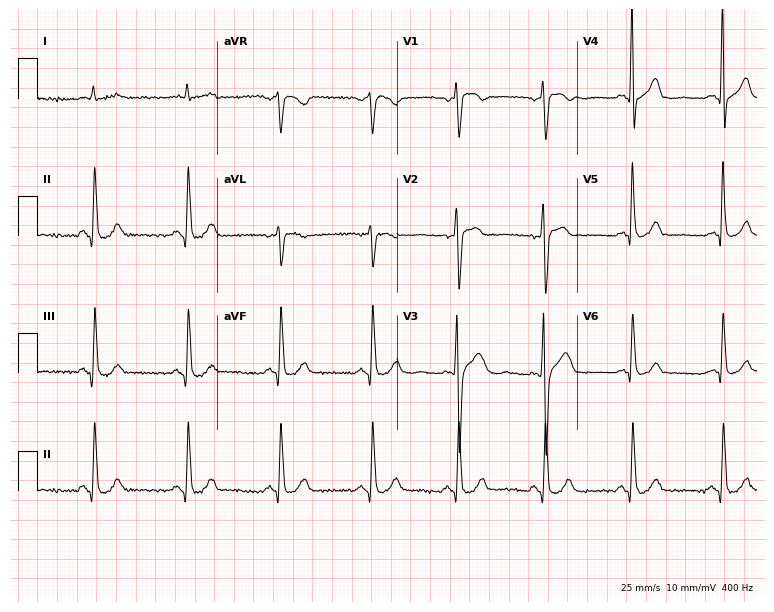
Electrocardiogram (7.3-second recording at 400 Hz), a 61-year-old male patient. Overall reading on record: normal ECG.